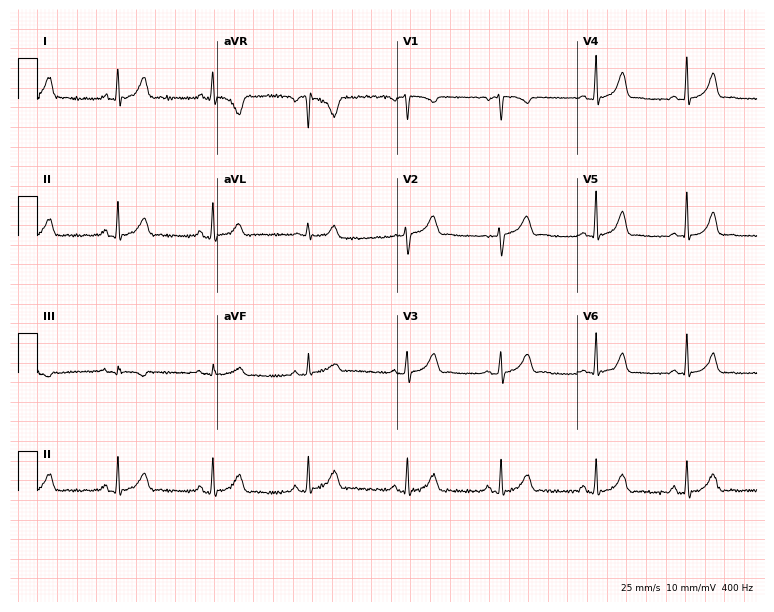
Standard 12-lead ECG recorded from a 42-year-old woman (7.3-second recording at 400 Hz). Read as a normal ECG.